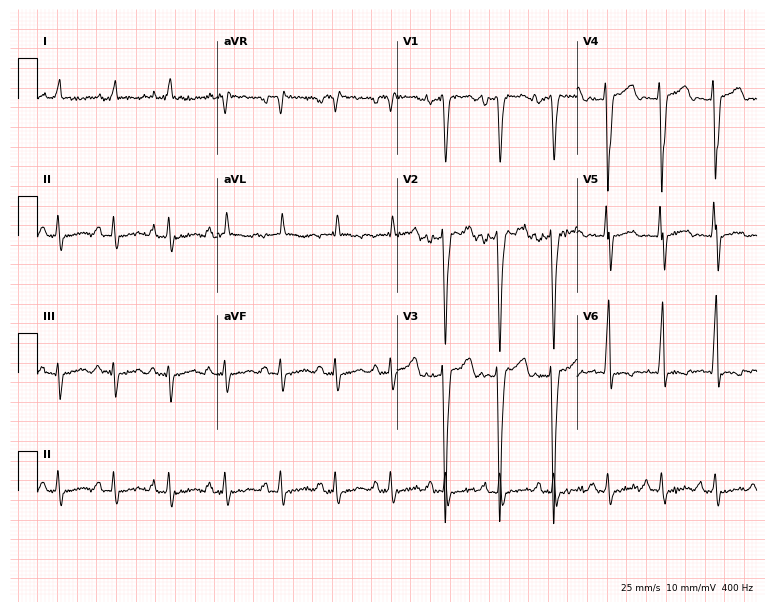
Electrocardiogram (7.3-second recording at 400 Hz), a male patient, 46 years old. Of the six screened findings (first-degree AV block, right bundle branch block (RBBB), left bundle branch block (LBBB), sinus bradycardia, atrial fibrillation (AF), sinus tachycardia), none is recorded.